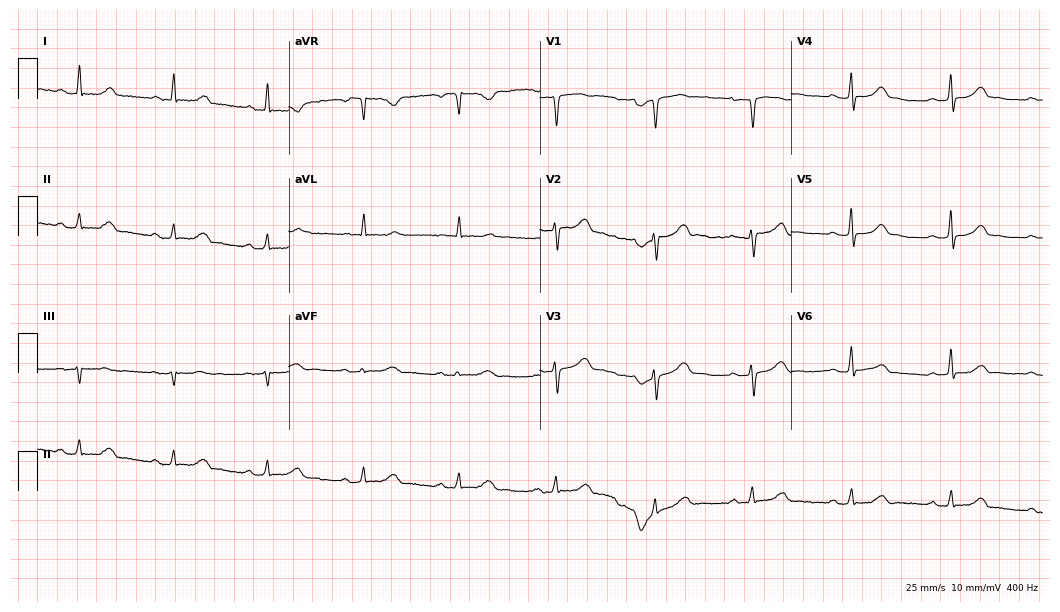
12-lead ECG from a 61-year-old female patient. Labelled as a normal ECG.